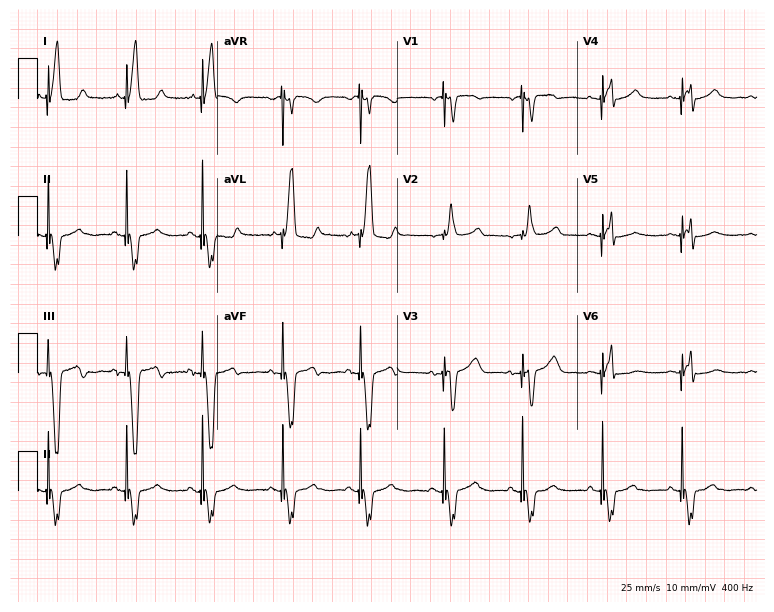
ECG (7.3-second recording at 400 Hz) — a woman, 76 years old. Screened for six findings — first-degree AV block, right bundle branch block (RBBB), left bundle branch block (LBBB), sinus bradycardia, atrial fibrillation (AF), sinus tachycardia — none is recorded. Findings outside these six are not listed.